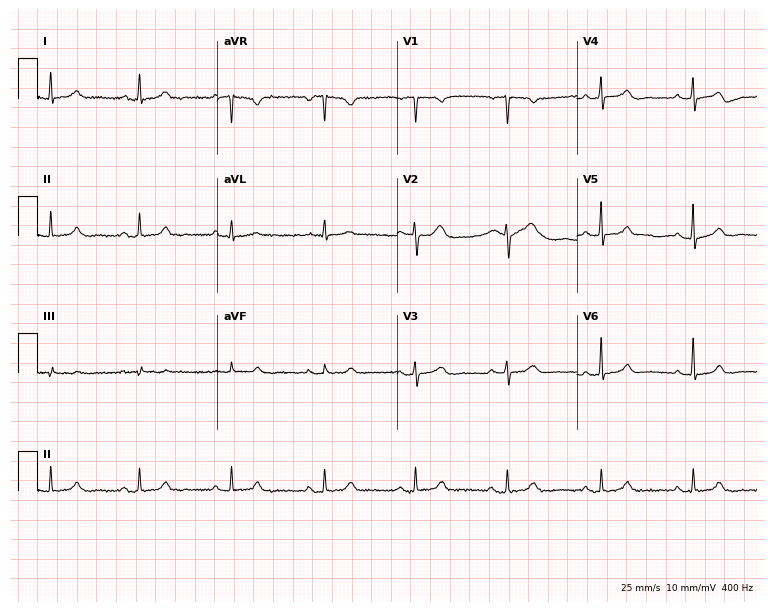
Resting 12-lead electrocardiogram (7.3-second recording at 400 Hz). Patient: a female, 51 years old. Read as a normal ECG.